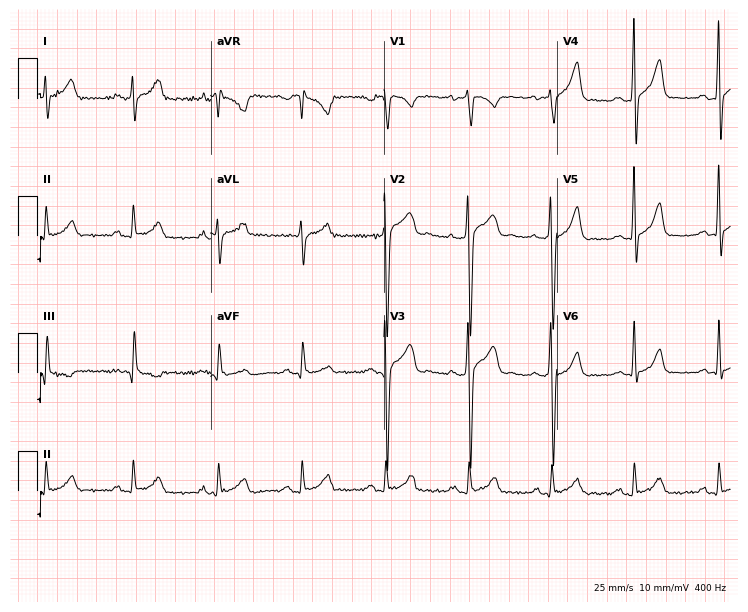
12-lead ECG from a male, 24 years old. No first-degree AV block, right bundle branch block, left bundle branch block, sinus bradycardia, atrial fibrillation or sinus tachycardia recorded for this tracing.